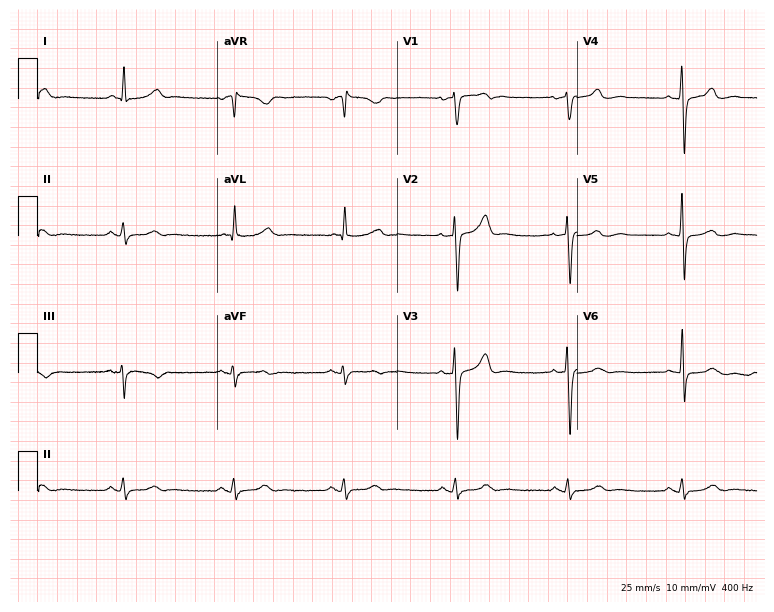
12-lead ECG (7.3-second recording at 400 Hz) from a male, 66 years old. Labelled as a normal ECG.